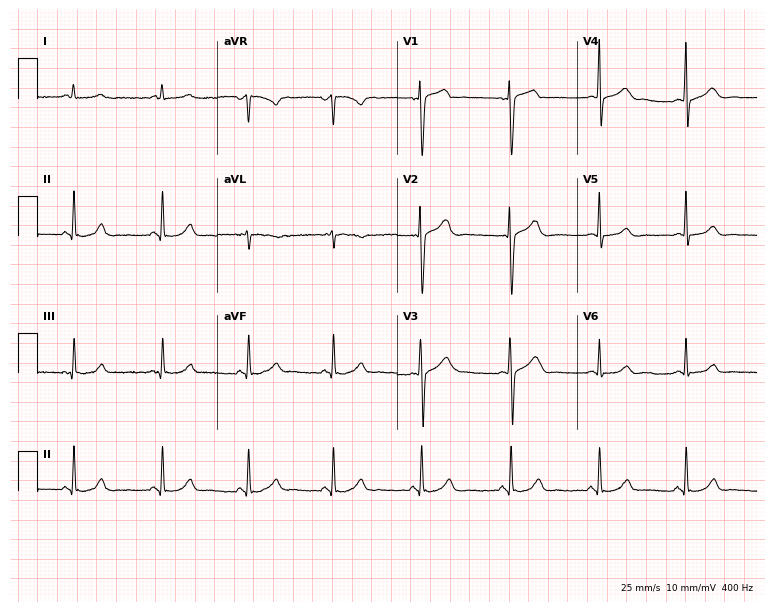
Resting 12-lead electrocardiogram. Patient: a 50-year-old woman. None of these six findings is recorded: first-degree AV block, right bundle branch block (RBBB), left bundle branch block (LBBB), sinus bradycardia, atrial fibrillation (AF), sinus tachycardia.